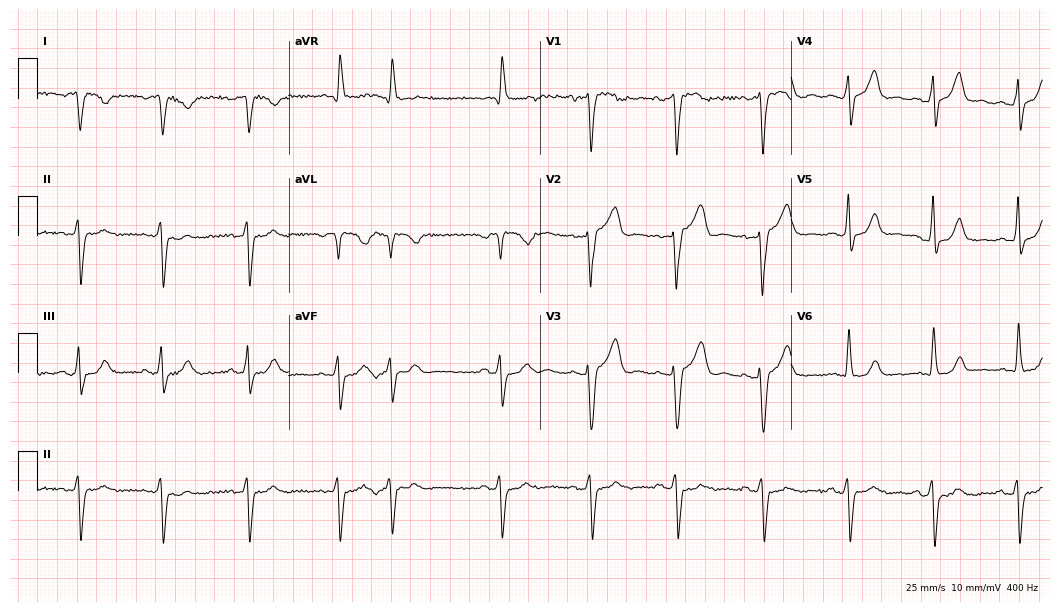
12-lead ECG from a 76-year-old man. Screened for six findings — first-degree AV block, right bundle branch block, left bundle branch block, sinus bradycardia, atrial fibrillation, sinus tachycardia — none is recorded. Other findings, if any, are not listed.